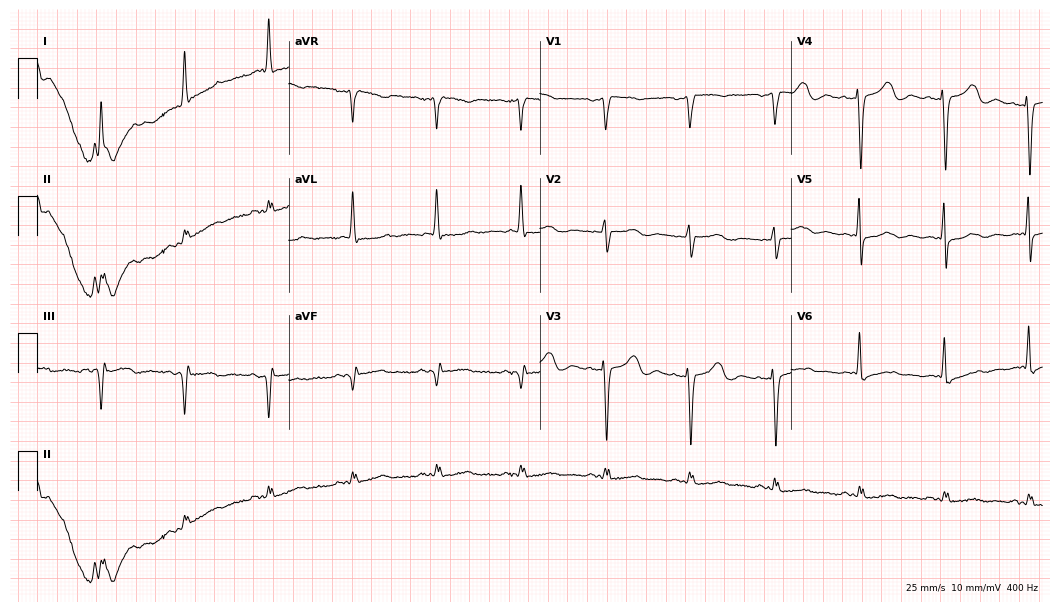
Resting 12-lead electrocardiogram. Patient: an 81-year-old female. None of these six findings is recorded: first-degree AV block, right bundle branch block (RBBB), left bundle branch block (LBBB), sinus bradycardia, atrial fibrillation (AF), sinus tachycardia. Findings outside these six are not listed.